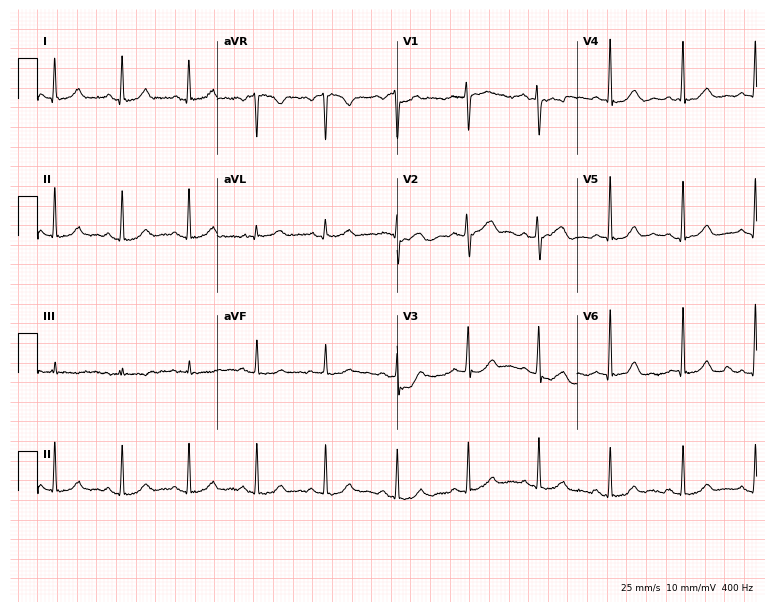
Electrocardiogram, a 37-year-old female patient. Overall reading on record: normal ECG.